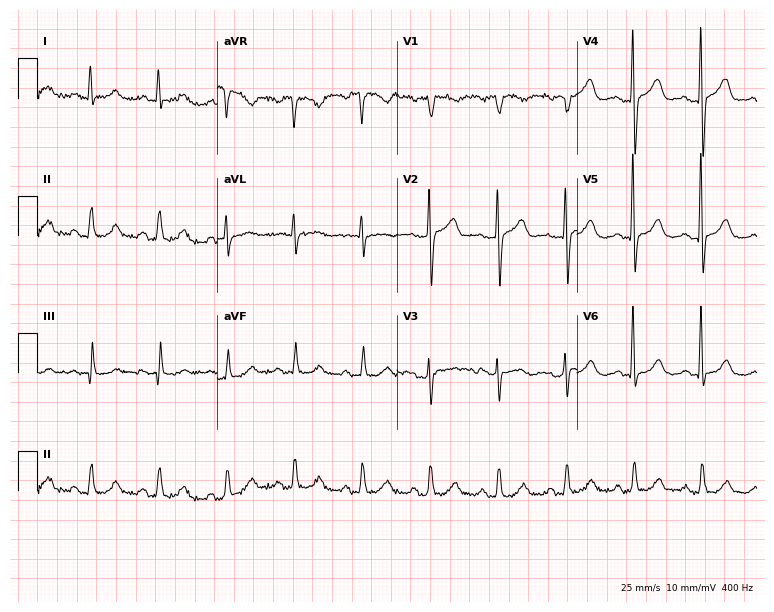
Resting 12-lead electrocardiogram (7.3-second recording at 400 Hz). Patient: a male, 76 years old. Read as a normal ECG.